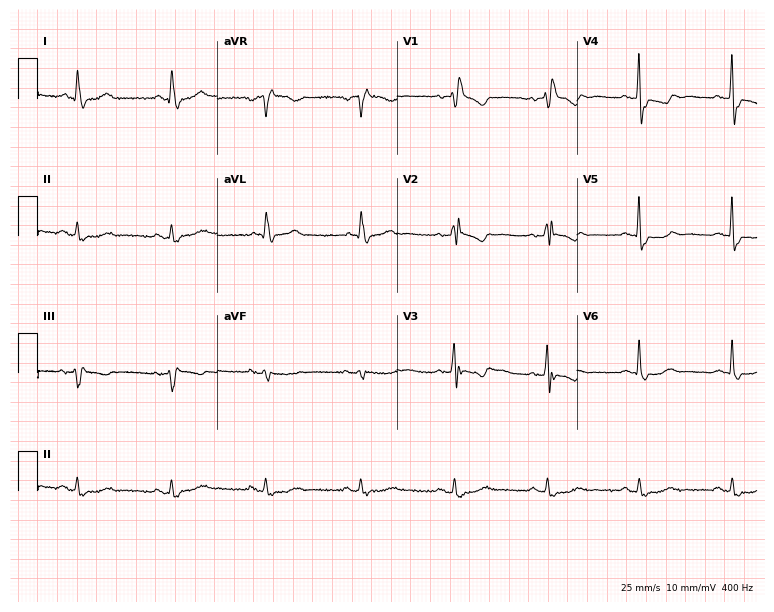
ECG — a woman, 65 years old. Screened for six findings — first-degree AV block, right bundle branch block, left bundle branch block, sinus bradycardia, atrial fibrillation, sinus tachycardia — none is recorded. Only these six findings were labelled.